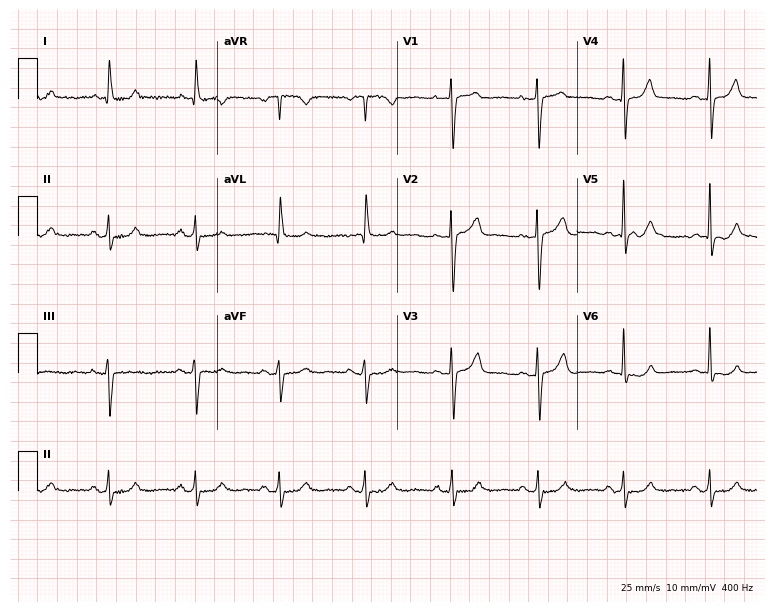
Resting 12-lead electrocardiogram. Patient: a woman, 71 years old. None of these six findings is recorded: first-degree AV block, right bundle branch block, left bundle branch block, sinus bradycardia, atrial fibrillation, sinus tachycardia. Other findings, if any, are not listed.